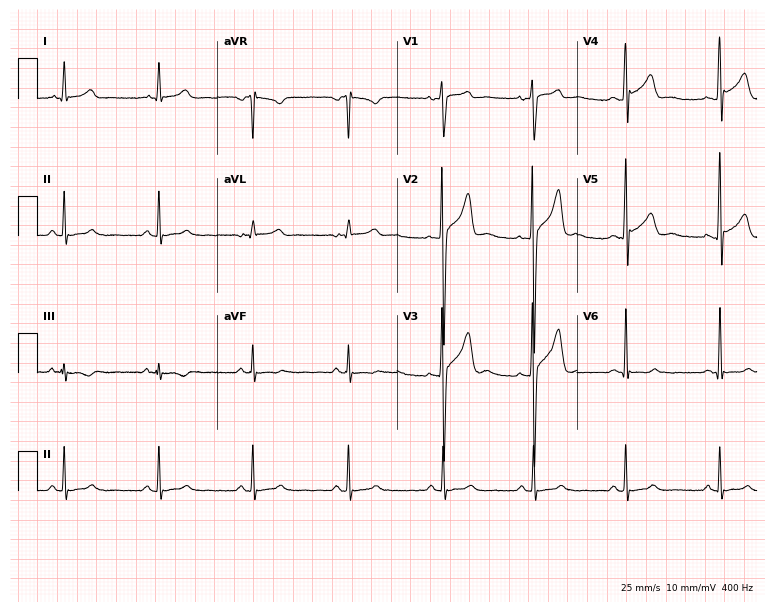
Electrocardiogram, a 20-year-old man. Of the six screened findings (first-degree AV block, right bundle branch block (RBBB), left bundle branch block (LBBB), sinus bradycardia, atrial fibrillation (AF), sinus tachycardia), none is recorded.